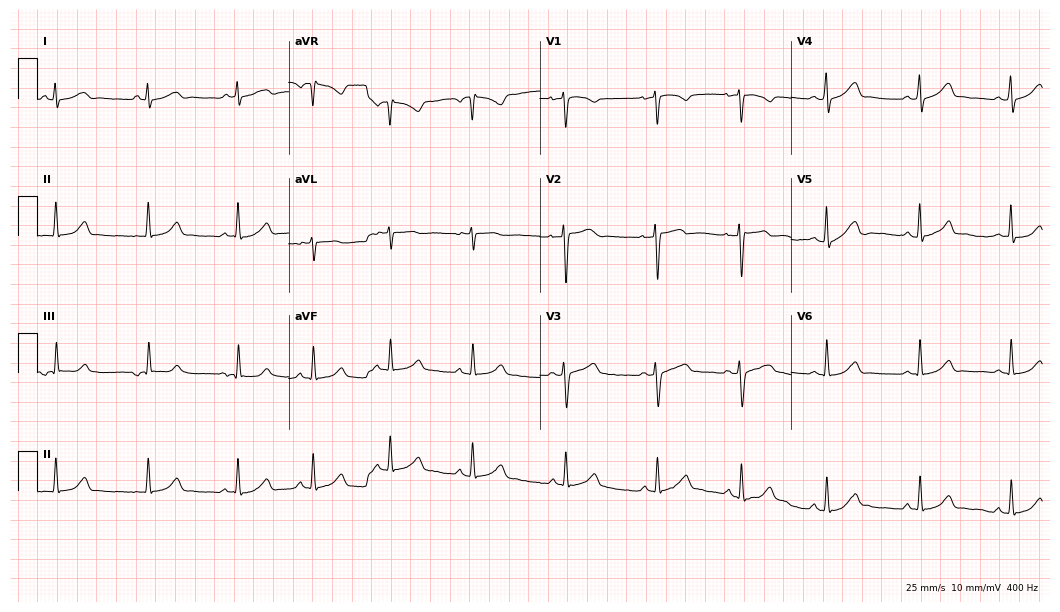
12-lead ECG from a 25-year-old woman. Labelled as a normal ECG.